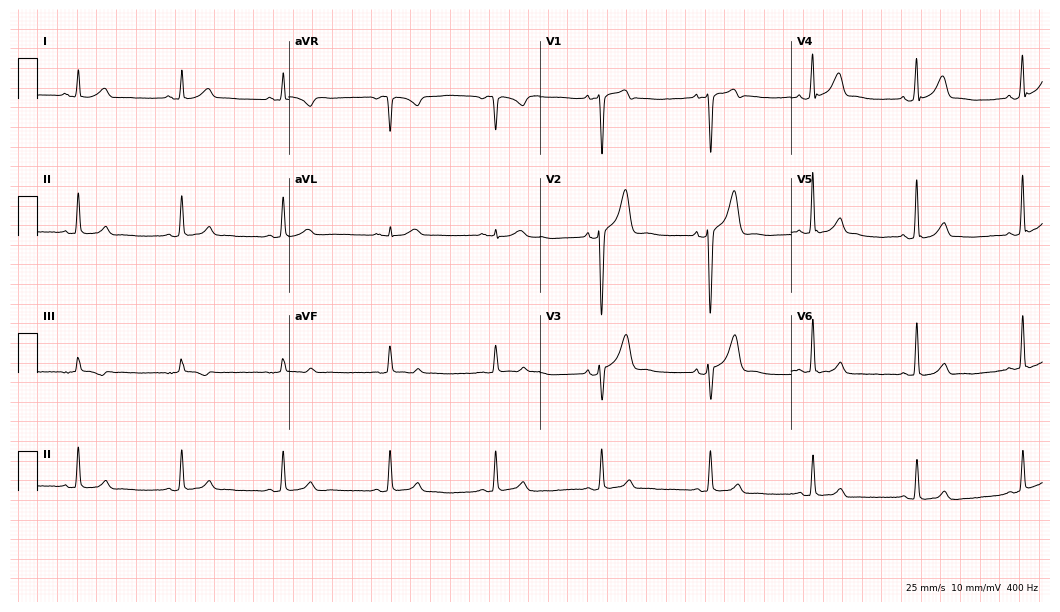
Resting 12-lead electrocardiogram (10.2-second recording at 400 Hz). Patient: a man, 24 years old. Read as a normal ECG.